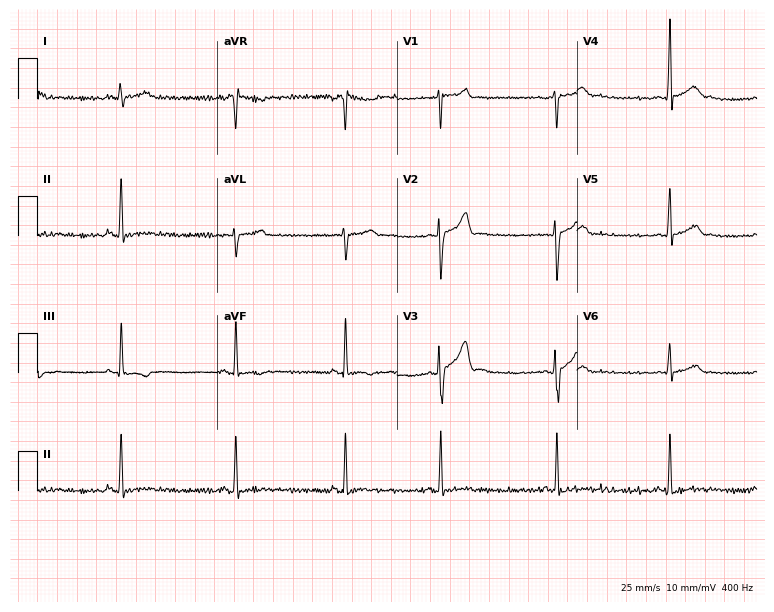
12-lead ECG from a male, 22 years old (7.3-second recording at 400 Hz). Recorded interpretation: within normal limits.